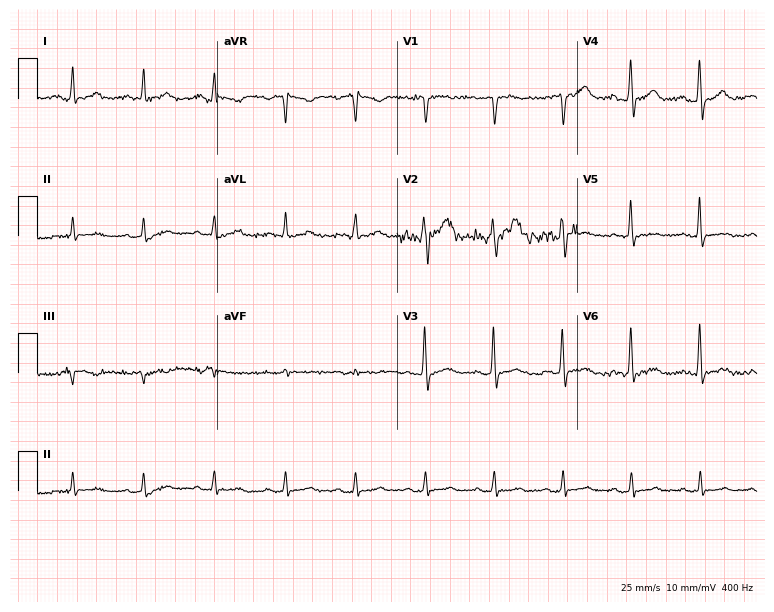
ECG (7.3-second recording at 400 Hz) — a 44-year-old man. Screened for six findings — first-degree AV block, right bundle branch block, left bundle branch block, sinus bradycardia, atrial fibrillation, sinus tachycardia — none is recorded.